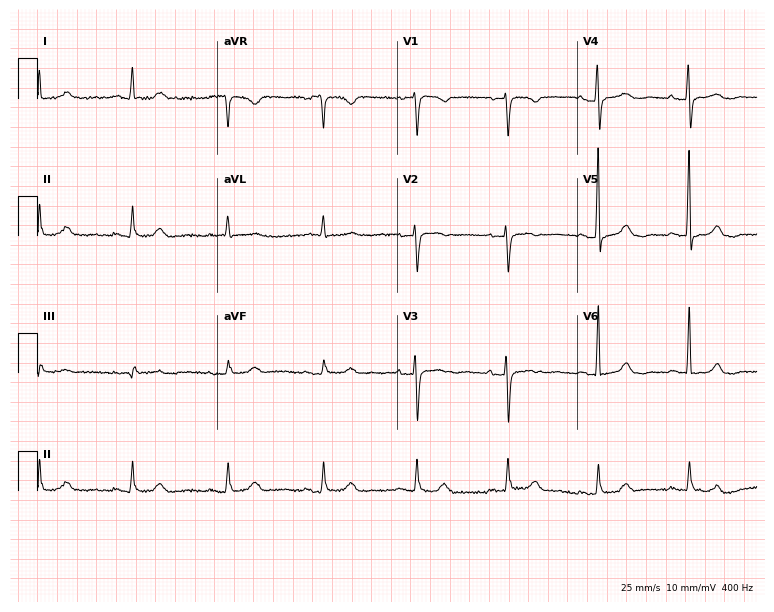
12-lead ECG from a female patient, 73 years old (7.3-second recording at 400 Hz). No first-degree AV block, right bundle branch block, left bundle branch block, sinus bradycardia, atrial fibrillation or sinus tachycardia recorded for this tracing. Only these six findings were labelled.